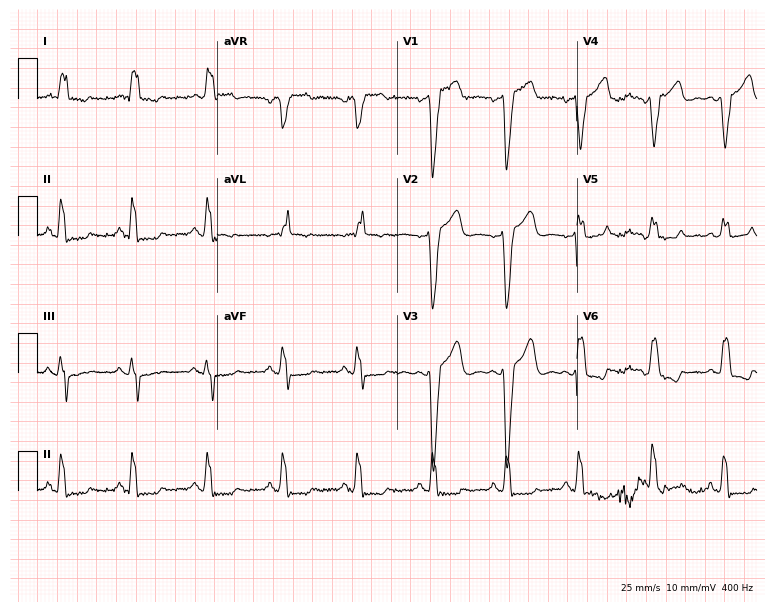
Electrocardiogram, a 68-year-old female. Interpretation includes left bundle branch block (LBBB).